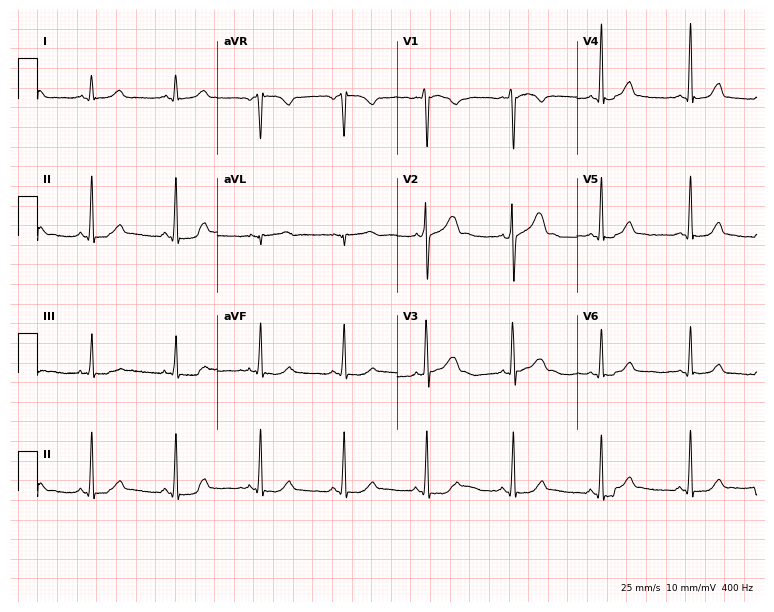
Electrocardiogram, a 20-year-old woman. Overall reading on record: normal ECG.